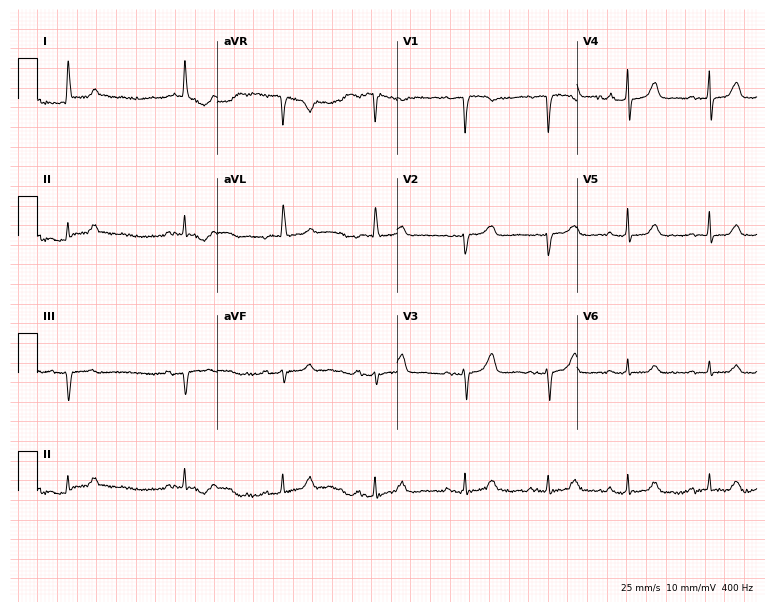
12-lead ECG (7.3-second recording at 400 Hz) from a 77-year-old female patient. Screened for six findings — first-degree AV block, right bundle branch block, left bundle branch block, sinus bradycardia, atrial fibrillation, sinus tachycardia — none is recorded.